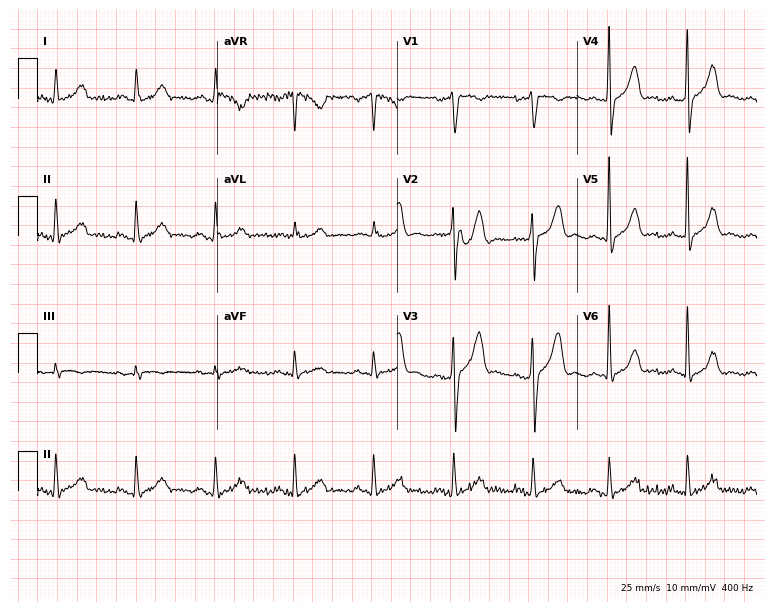
12-lead ECG from a 35-year-old man. Recorded interpretation: within normal limits.